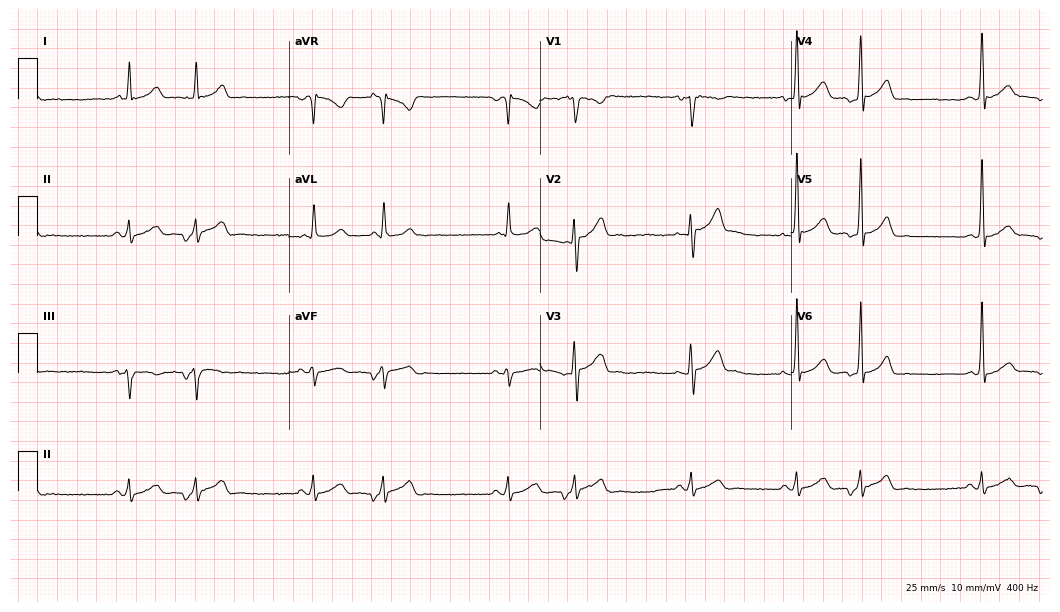
Resting 12-lead electrocardiogram. Patient: a man, 30 years old. None of these six findings is recorded: first-degree AV block, right bundle branch block, left bundle branch block, sinus bradycardia, atrial fibrillation, sinus tachycardia. Other findings, if any, are not listed.